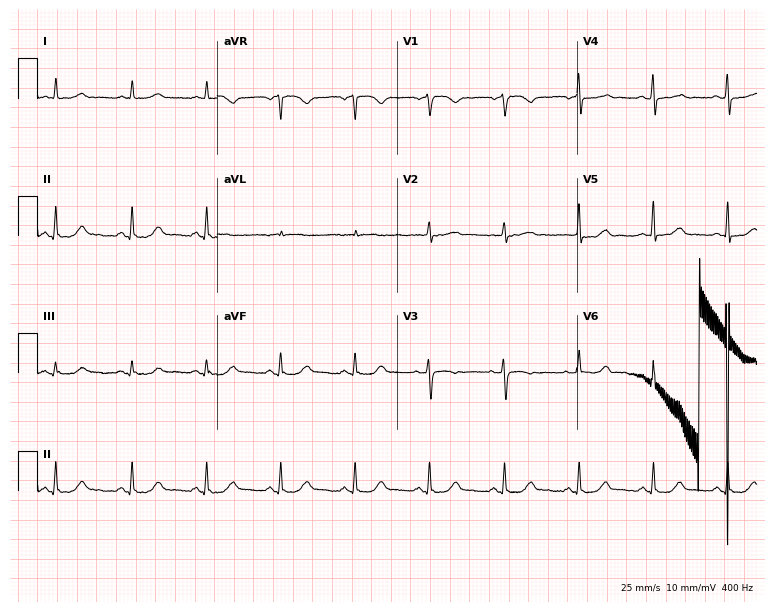
Resting 12-lead electrocardiogram (7.3-second recording at 400 Hz). Patient: a 73-year-old female. Read as a normal ECG.